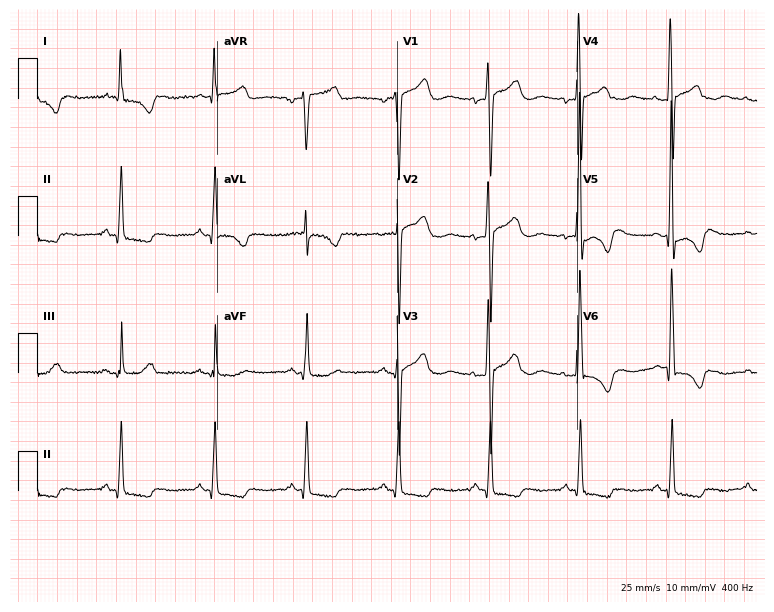
12-lead ECG (7.3-second recording at 400 Hz) from a 73-year-old woman. Screened for six findings — first-degree AV block, right bundle branch block, left bundle branch block, sinus bradycardia, atrial fibrillation, sinus tachycardia — none is recorded. Only these six findings were labelled.